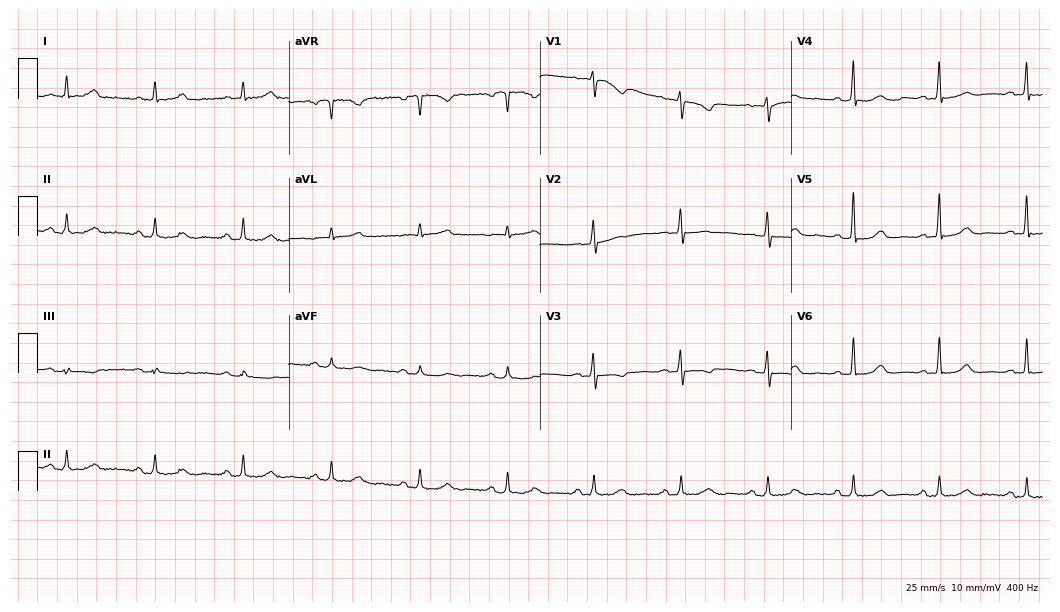
Resting 12-lead electrocardiogram (10.2-second recording at 400 Hz). Patient: a female, 70 years old. Read as a normal ECG.